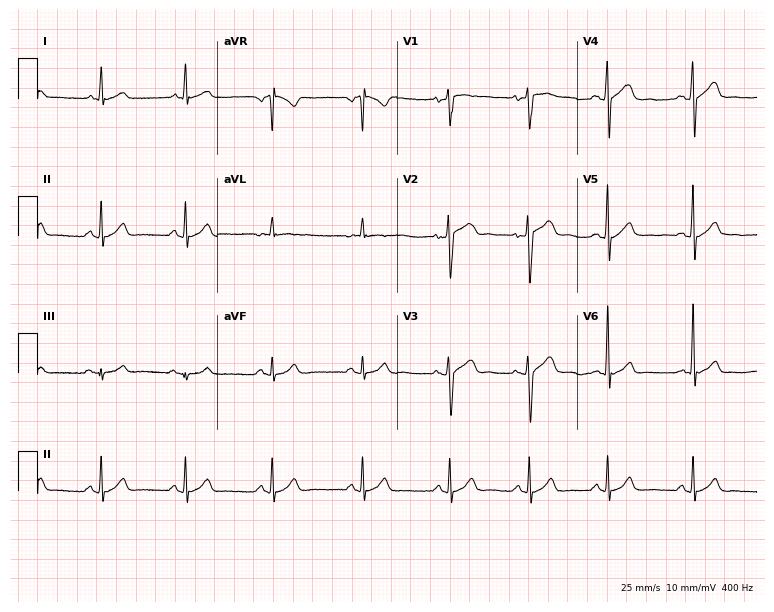
12-lead ECG from a 19-year-old male patient (7.3-second recording at 400 Hz). Recorded interpretation: within normal limits.